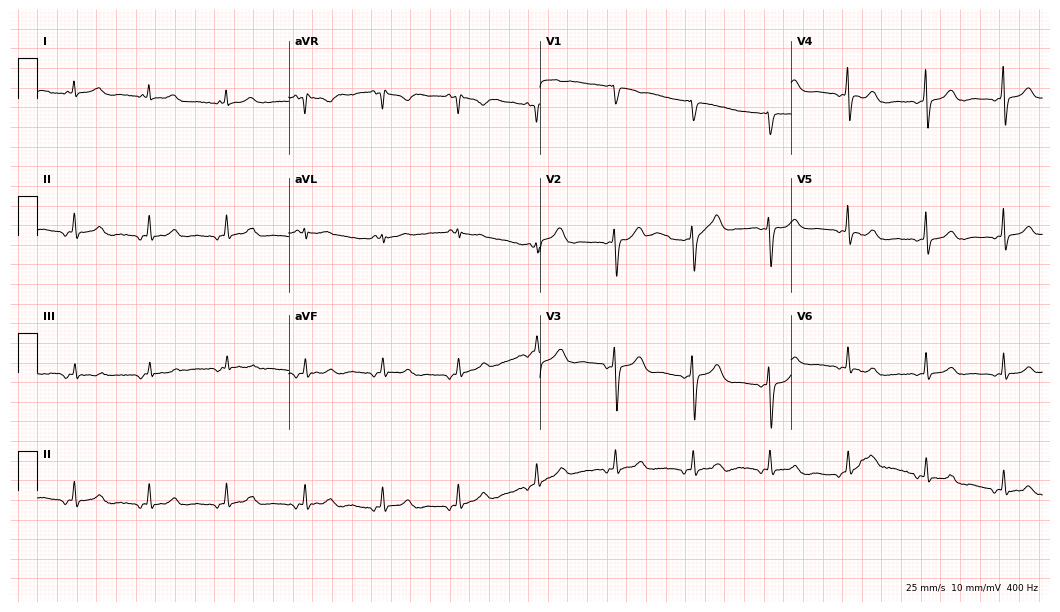
Electrocardiogram (10.2-second recording at 400 Hz), a woman, 34 years old. Overall reading on record: normal ECG.